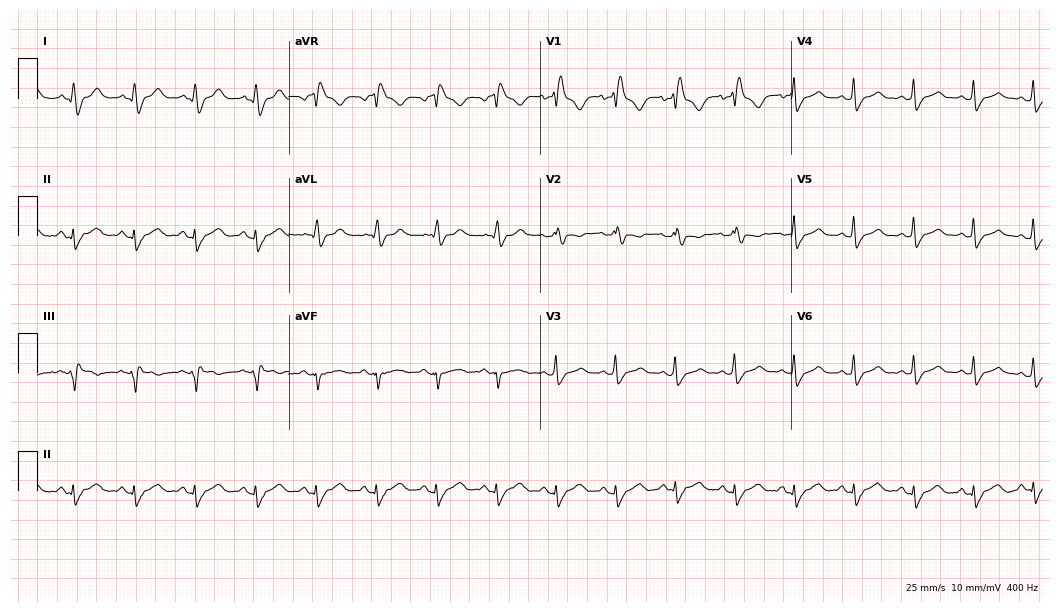
Electrocardiogram, a woman, 45 years old. Interpretation includes right bundle branch block (RBBB).